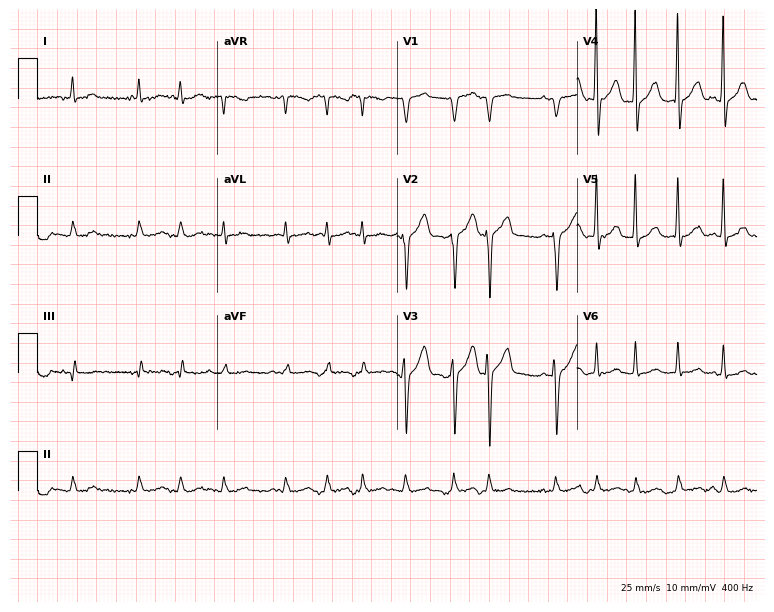
12-lead ECG from a male, 82 years old. Shows atrial fibrillation (AF), sinus tachycardia (a sinus rate of 100 beats per minute or more).